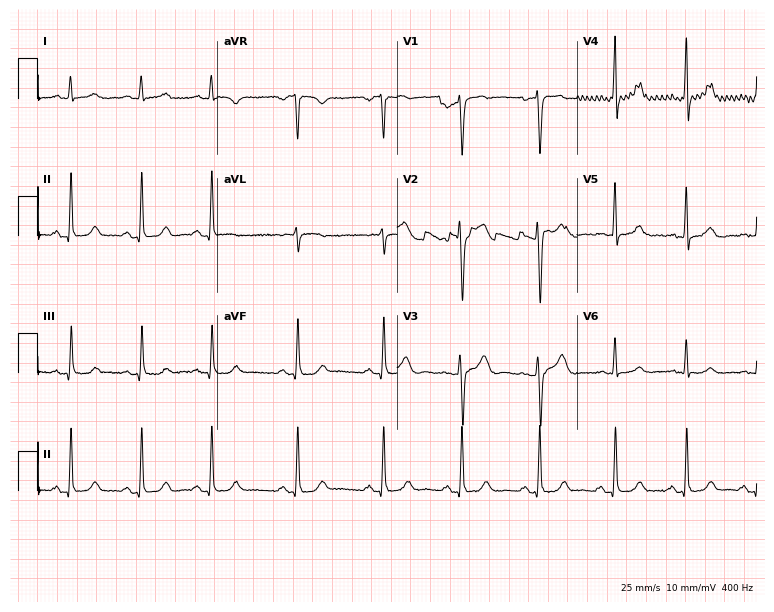
12-lead ECG from a 48-year-old male patient. No first-degree AV block, right bundle branch block (RBBB), left bundle branch block (LBBB), sinus bradycardia, atrial fibrillation (AF) or sinus tachycardia recorded for this tracing. Only these six findings were labelled.